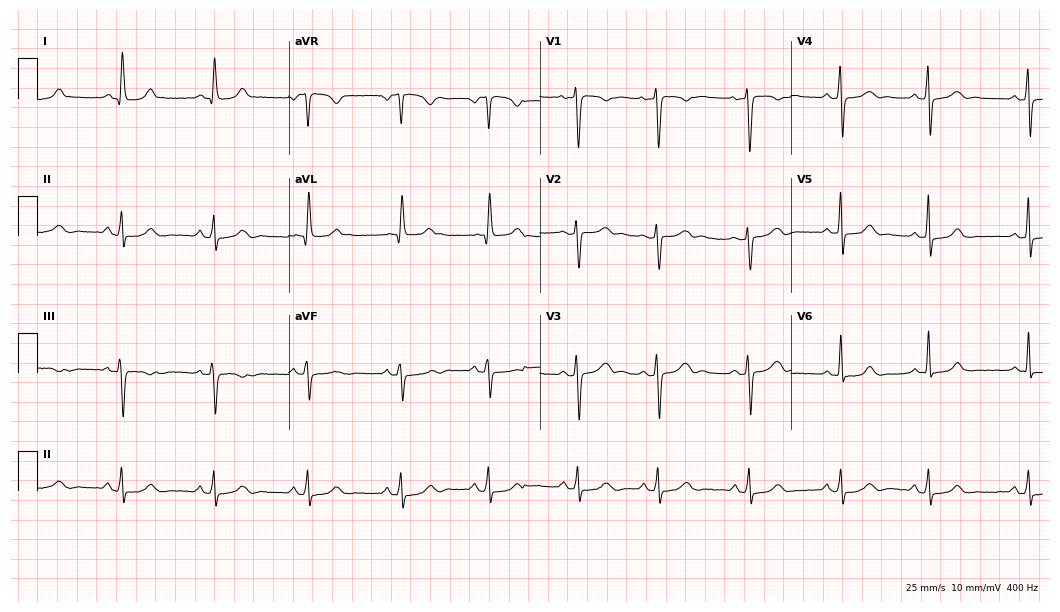
12-lead ECG (10.2-second recording at 400 Hz) from a female patient, 41 years old. Labelled as a normal ECG.